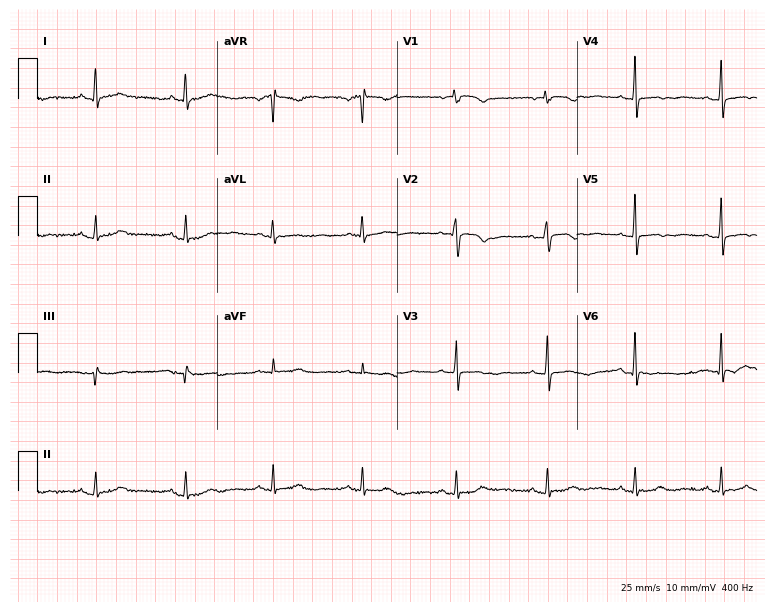
Electrocardiogram (7.3-second recording at 400 Hz), a 53-year-old woman. Of the six screened findings (first-degree AV block, right bundle branch block, left bundle branch block, sinus bradycardia, atrial fibrillation, sinus tachycardia), none is recorded. Findings outside these six are not listed.